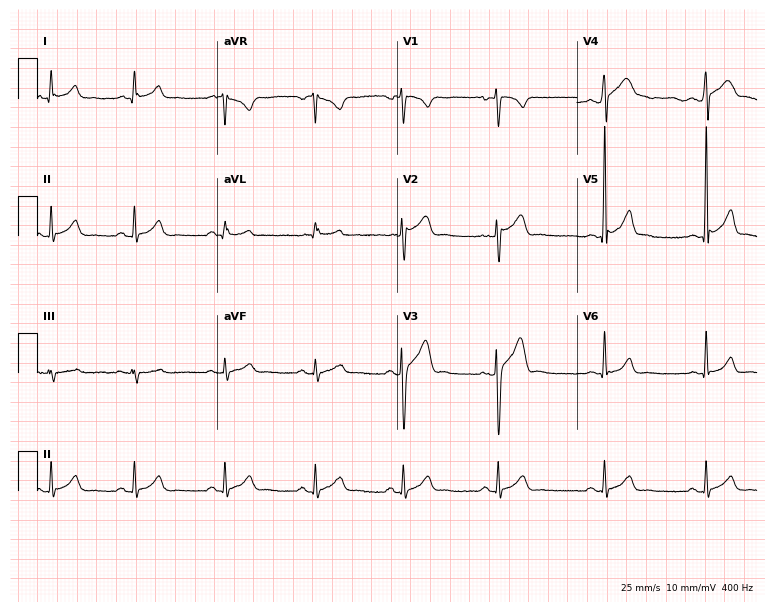
12-lead ECG from a 29-year-old male patient. Labelled as a normal ECG.